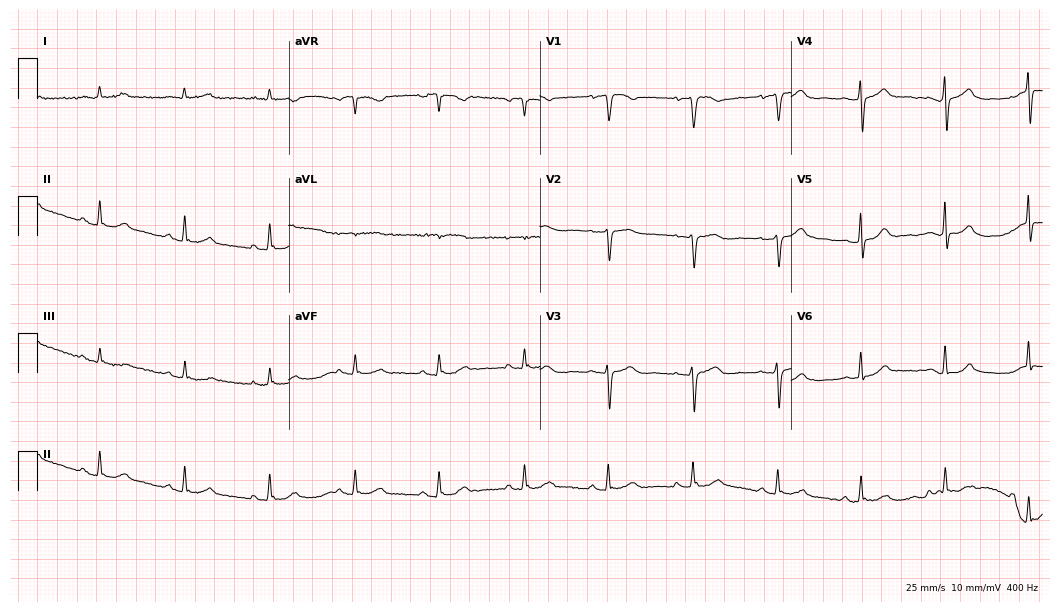
12-lead ECG from an 80-year-old male (10.2-second recording at 400 Hz). Recorded interpretation: within normal limits.